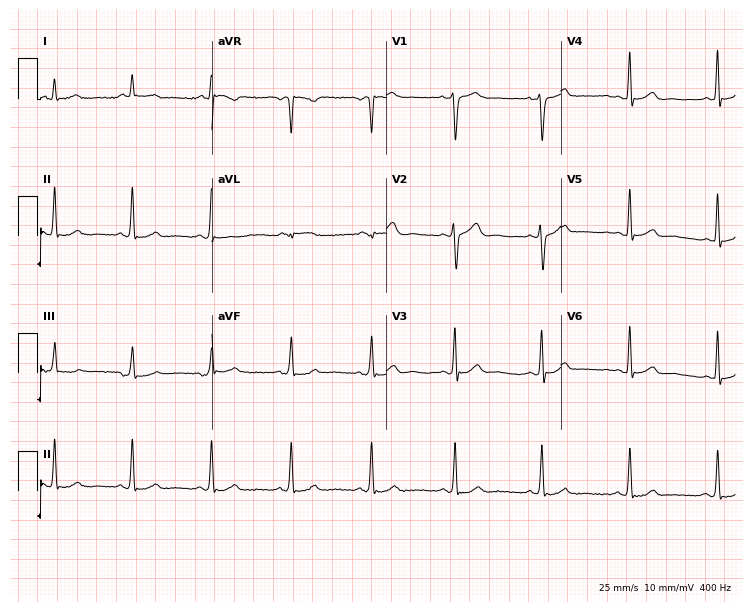
Resting 12-lead electrocardiogram. Patient: a male, 40 years old. Read as a normal ECG.